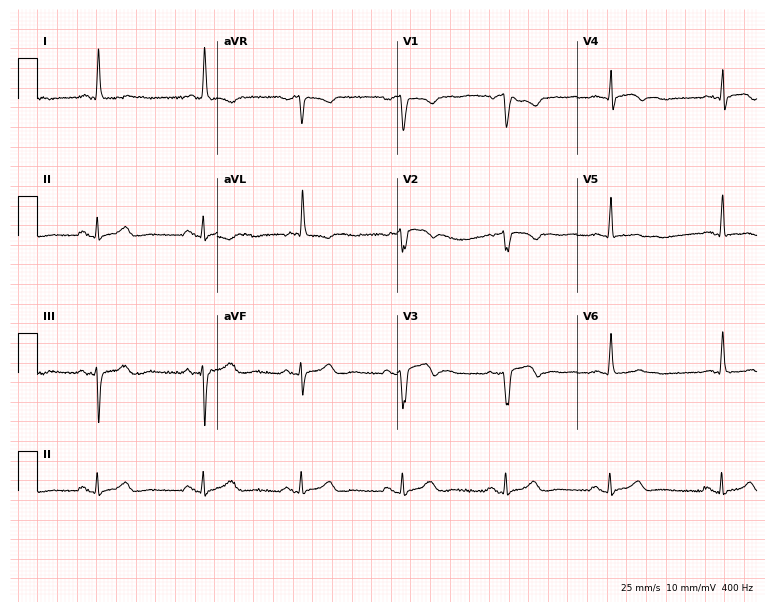
Standard 12-lead ECG recorded from a 75-year-old female patient (7.3-second recording at 400 Hz). None of these six findings is recorded: first-degree AV block, right bundle branch block (RBBB), left bundle branch block (LBBB), sinus bradycardia, atrial fibrillation (AF), sinus tachycardia.